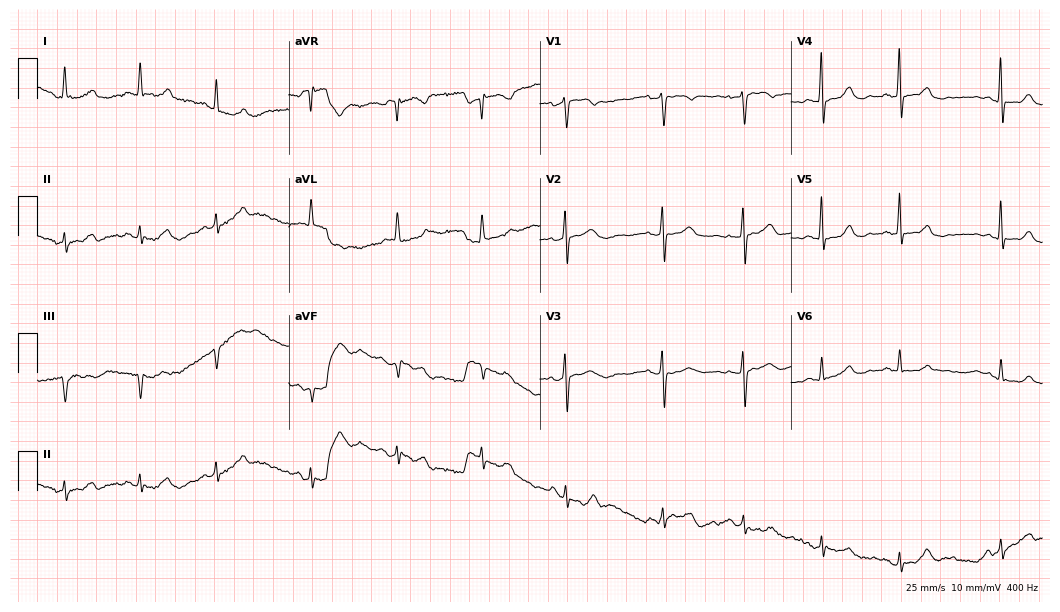
Standard 12-lead ECG recorded from an 84-year-old woman. None of these six findings is recorded: first-degree AV block, right bundle branch block, left bundle branch block, sinus bradycardia, atrial fibrillation, sinus tachycardia.